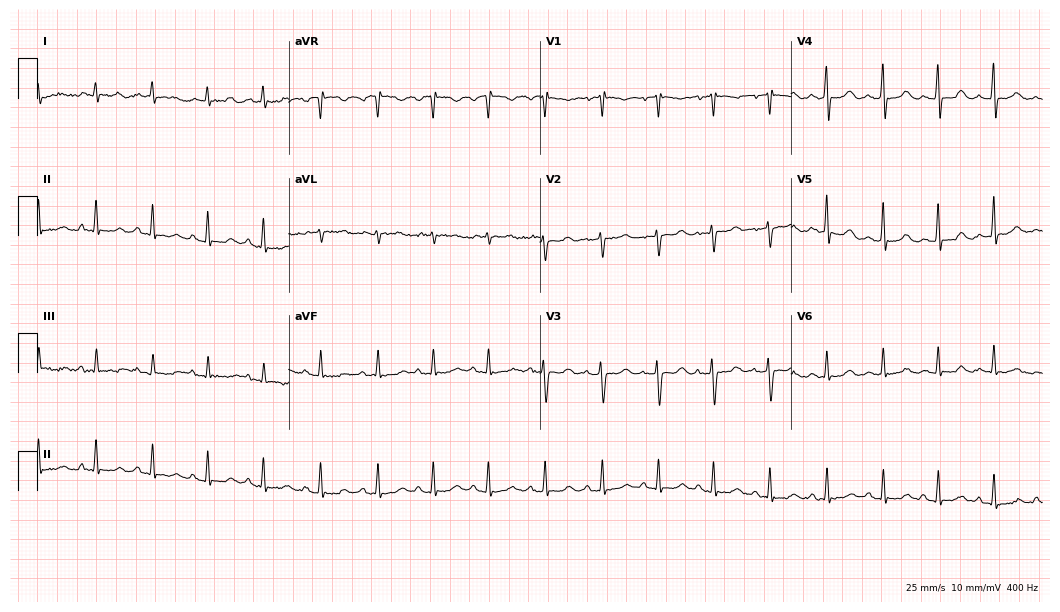
Resting 12-lead electrocardiogram. Patient: a female, 76 years old. None of these six findings is recorded: first-degree AV block, right bundle branch block, left bundle branch block, sinus bradycardia, atrial fibrillation, sinus tachycardia.